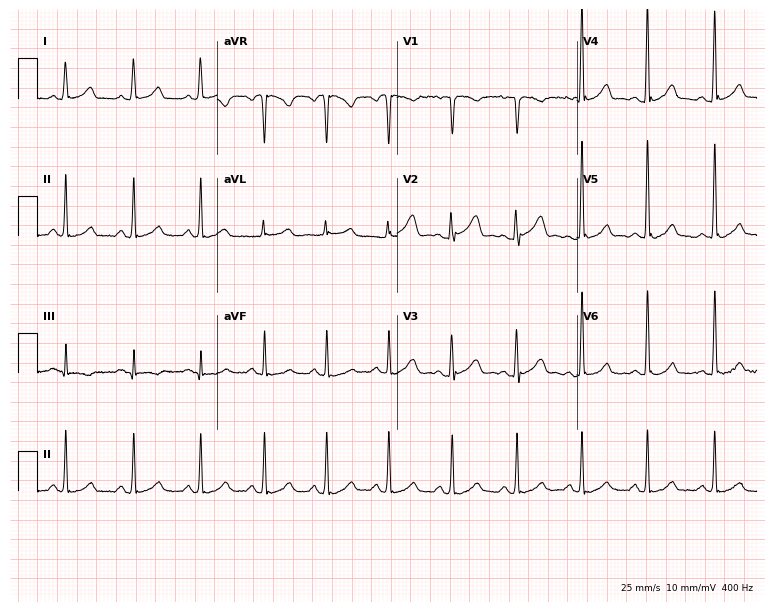
Standard 12-lead ECG recorded from a female patient, 36 years old. None of these six findings is recorded: first-degree AV block, right bundle branch block, left bundle branch block, sinus bradycardia, atrial fibrillation, sinus tachycardia. Only these six findings were labelled.